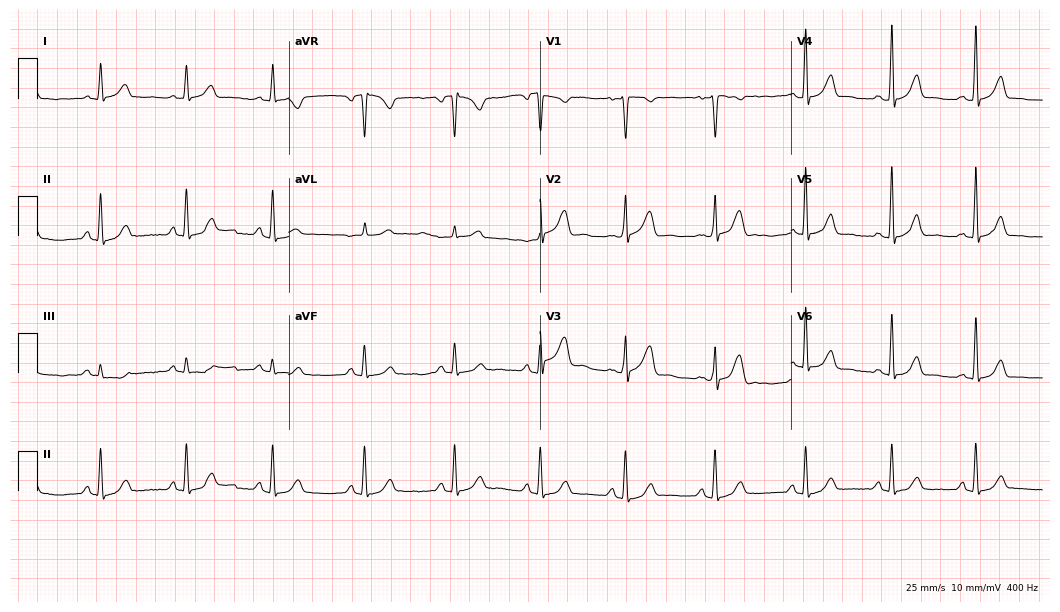
12-lead ECG from a female patient, 47 years old. No first-degree AV block, right bundle branch block (RBBB), left bundle branch block (LBBB), sinus bradycardia, atrial fibrillation (AF) or sinus tachycardia recorded for this tracing.